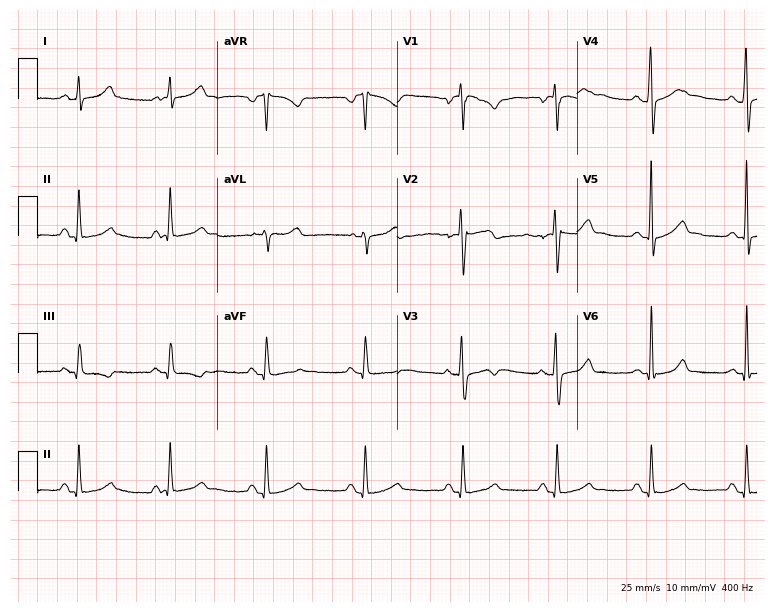
Electrocardiogram (7.3-second recording at 400 Hz), a man, 33 years old. Overall reading on record: normal ECG.